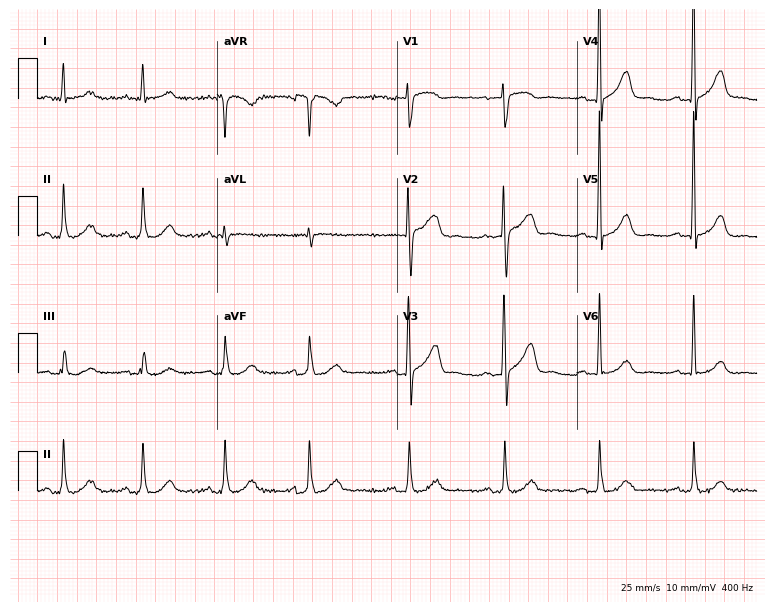
Electrocardiogram, a male, 72 years old. Overall reading on record: normal ECG.